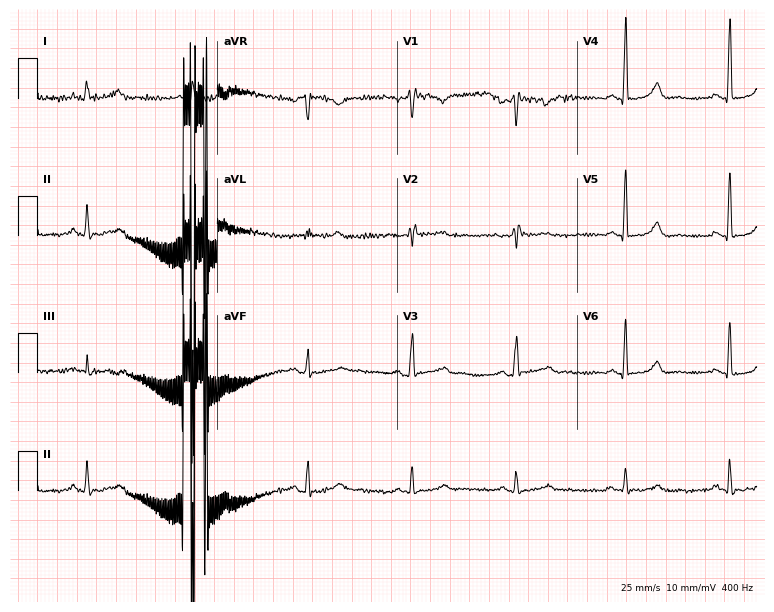
Resting 12-lead electrocardiogram. Patient: a 59-year-old woman. None of these six findings is recorded: first-degree AV block, right bundle branch block (RBBB), left bundle branch block (LBBB), sinus bradycardia, atrial fibrillation (AF), sinus tachycardia. Only these six findings were labelled.